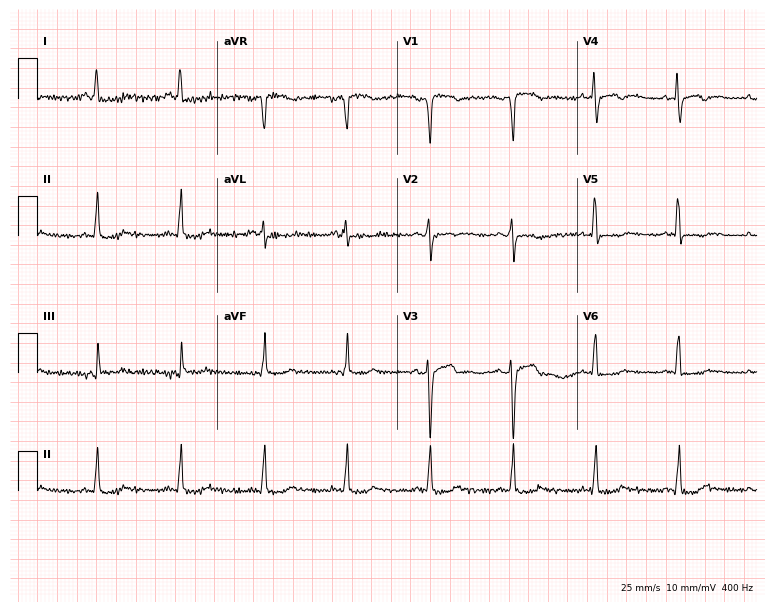
Electrocardiogram (7.3-second recording at 400 Hz), a 62-year-old man. Of the six screened findings (first-degree AV block, right bundle branch block, left bundle branch block, sinus bradycardia, atrial fibrillation, sinus tachycardia), none is recorded.